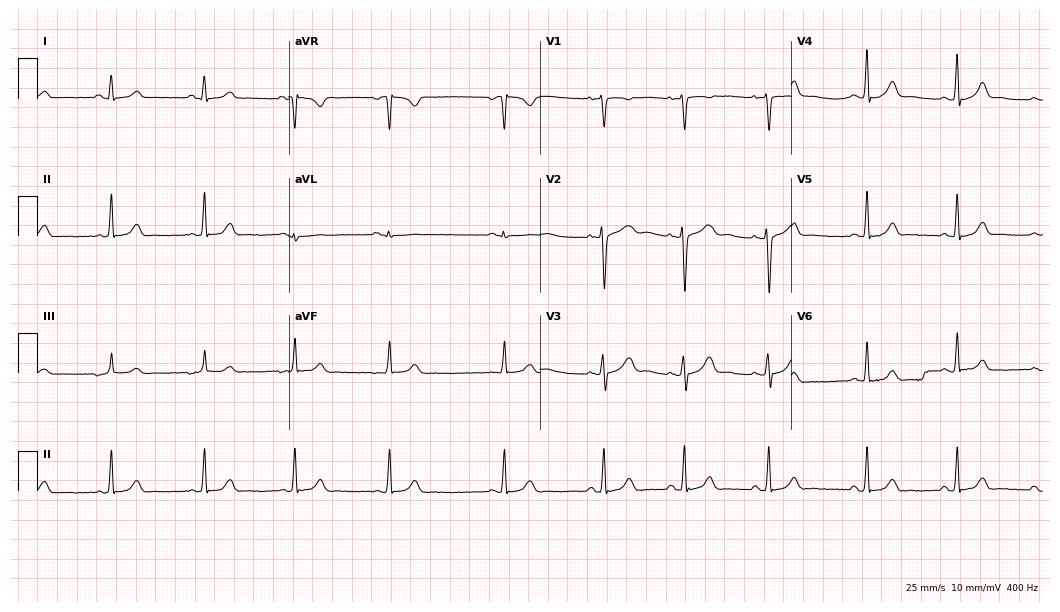
Standard 12-lead ECG recorded from a woman, 18 years old (10.2-second recording at 400 Hz). None of these six findings is recorded: first-degree AV block, right bundle branch block, left bundle branch block, sinus bradycardia, atrial fibrillation, sinus tachycardia. Only these six findings were labelled.